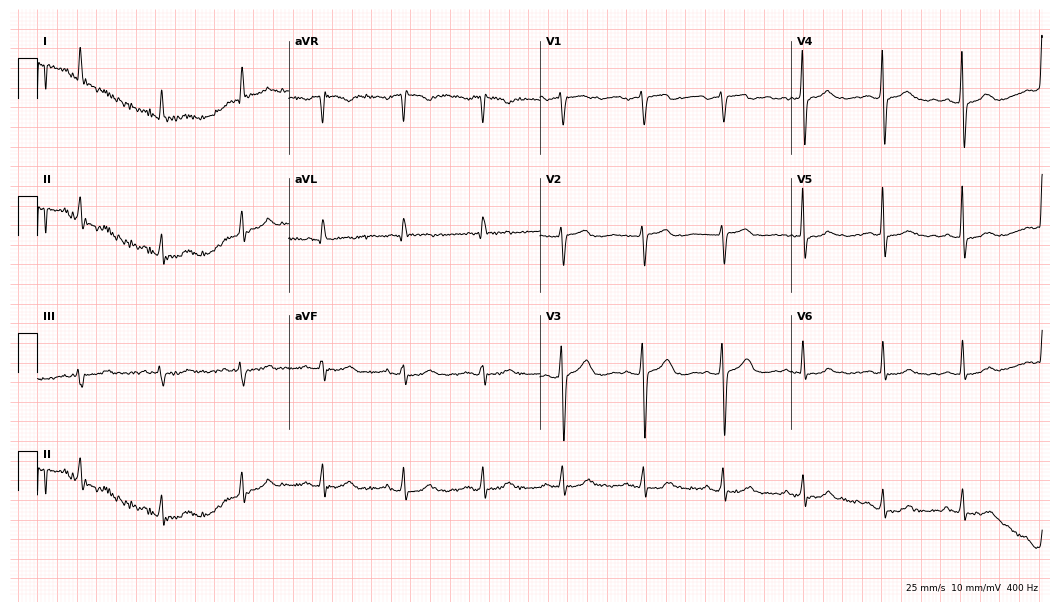
12-lead ECG from a 65-year-old woman (10.2-second recording at 400 Hz). Recorded interpretation: within normal limits.